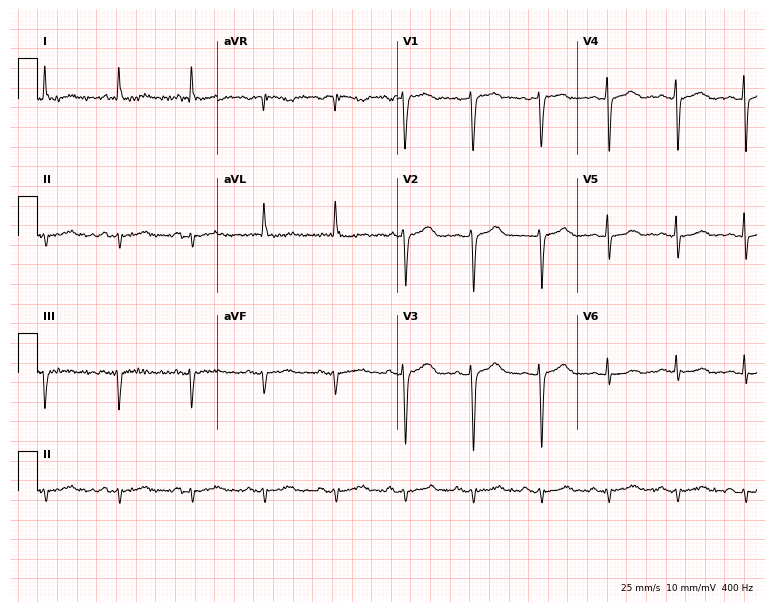
Resting 12-lead electrocardiogram. Patient: a woman, 87 years old. None of these six findings is recorded: first-degree AV block, right bundle branch block (RBBB), left bundle branch block (LBBB), sinus bradycardia, atrial fibrillation (AF), sinus tachycardia. Only these six findings were labelled.